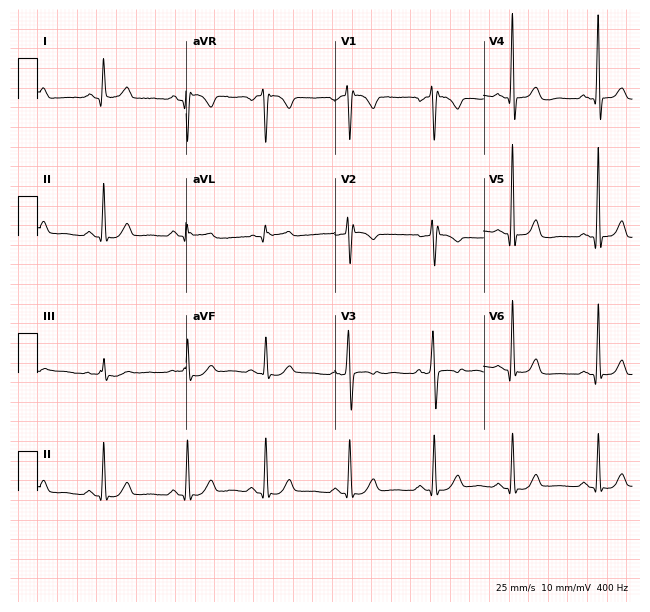
Resting 12-lead electrocardiogram (6.1-second recording at 400 Hz). Patient: a woman, 40 years old. Read as a normal ECG.